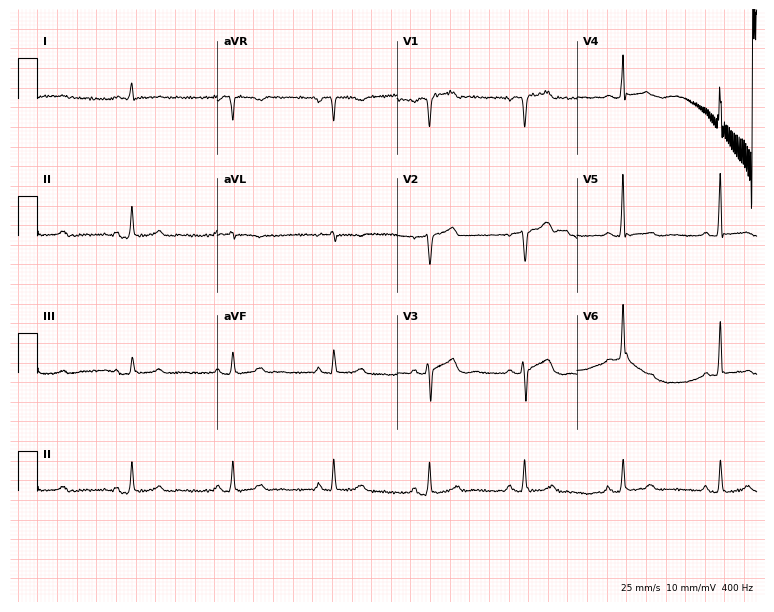
ECG — a 39-year-old man. Screened for six findings — first-degree AV block, right bundle branch block (RBBB), left bundle branch block (LBBB), sinus bradycardia, atrial fibrillation (AF), sinus tachycardia — none is recorded.